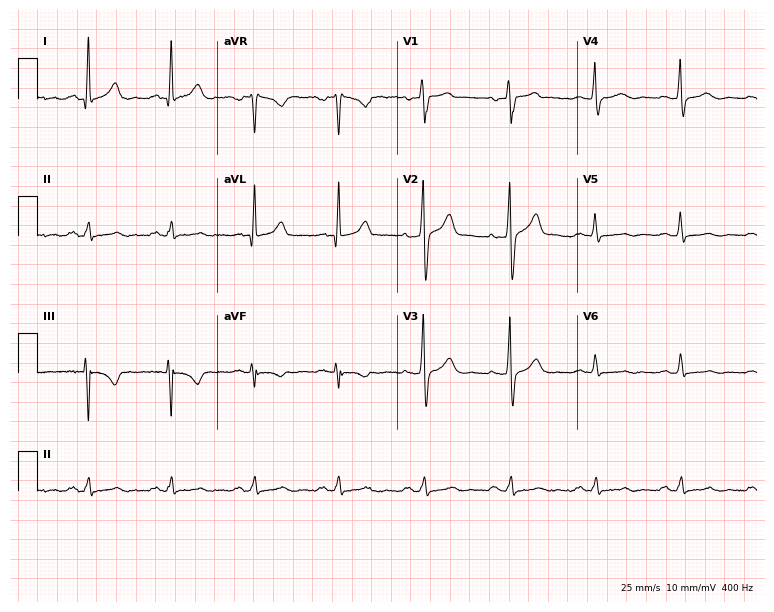
12-lead ECG from a male patient, 43 years old. Screened for six findings — first-degree AV block, right bundle branch block (RBBB), left bundle branch block (LBBB), sinus bradycardia, atrial fibrillation (AF), sinus tachycardia — none is recorded.